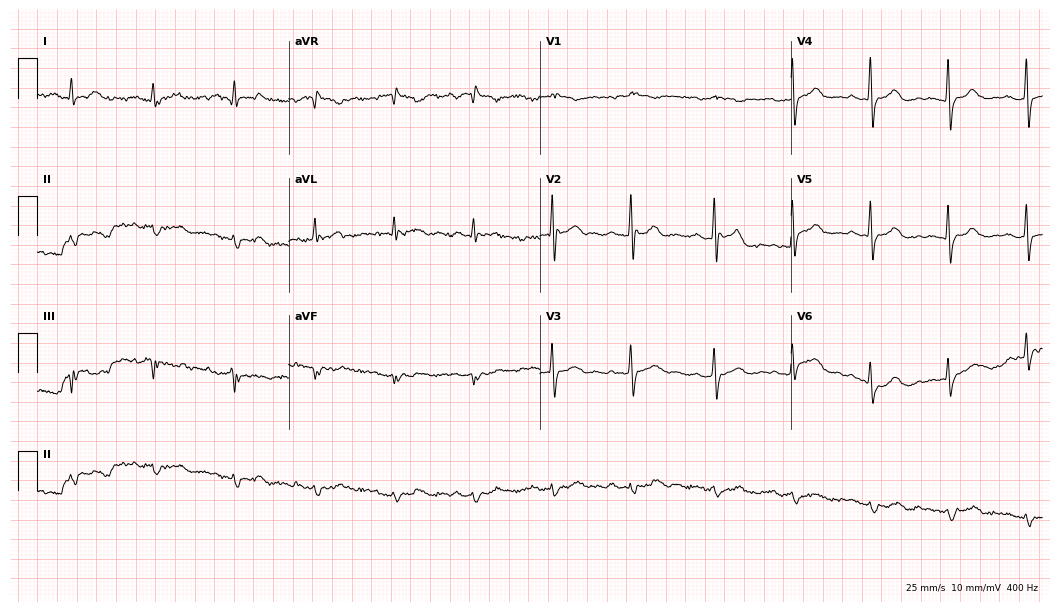
Electrocardiogram (10.2-second recording at 400 Hz), a 73-year-old man. Of the six screened findings (first-degree AV block, right bundle branch block, left bundle branch block, sinus bradycardia, atrial fibrillation, sinus tachycardia), none is recorded.